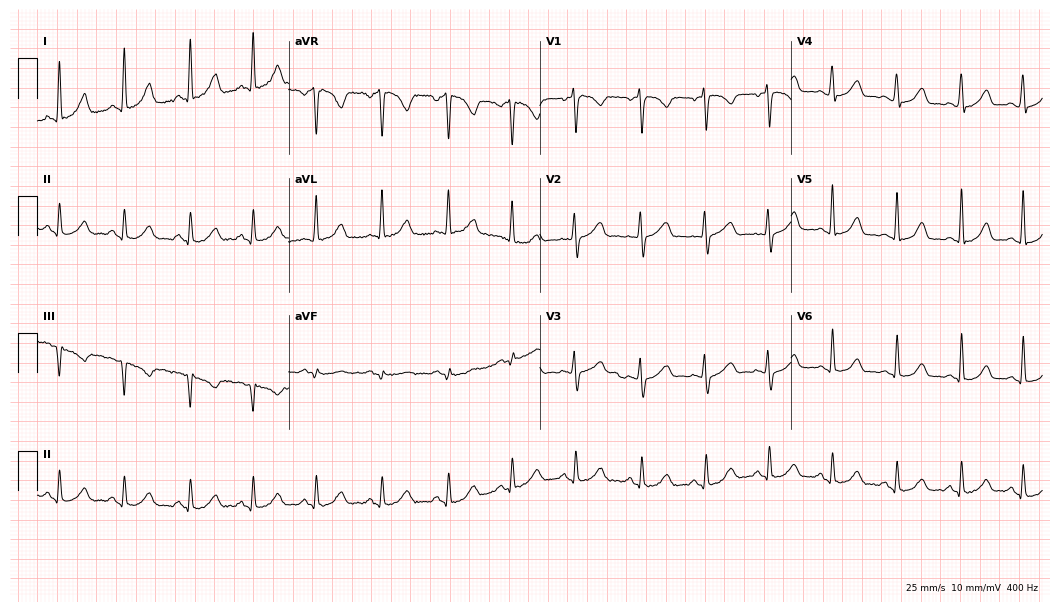
Resting 12-lead electrocardiogram (10.2-second recording at 400 Hz). Patient: a 46-year-old female. Read as a normal ECG.